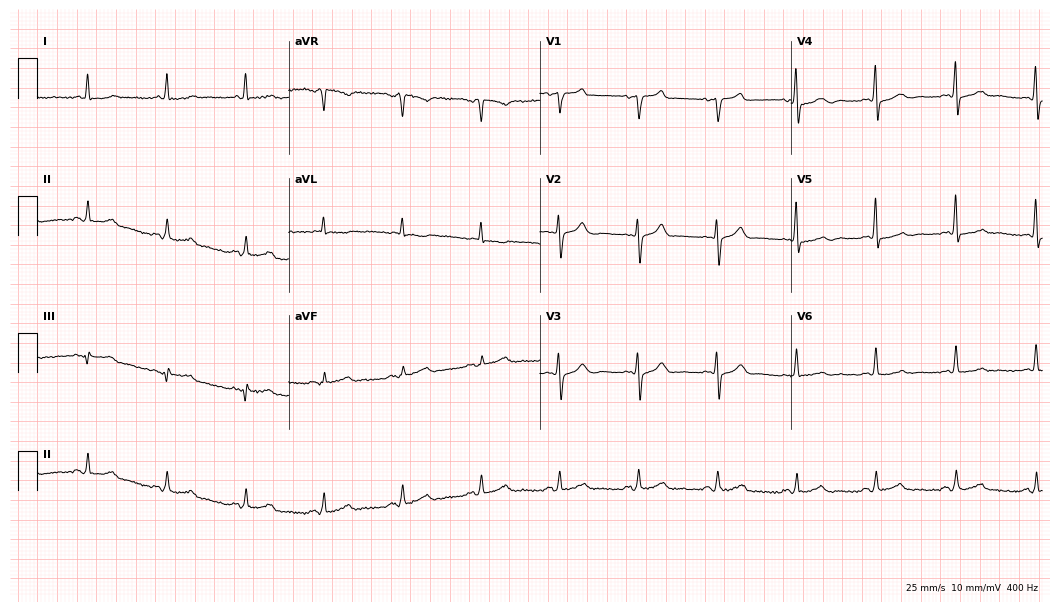
Standard 12-lead ECG recorded from a 66-year-old male. None of these six findings is recorded: first-degree AV block, right bundle branch block (RBBB), left bundle branch block (LBBB), sinus bradycardia, atrial fibrillation (AF), sinus tachycardia. Findings outside these six are not listed.